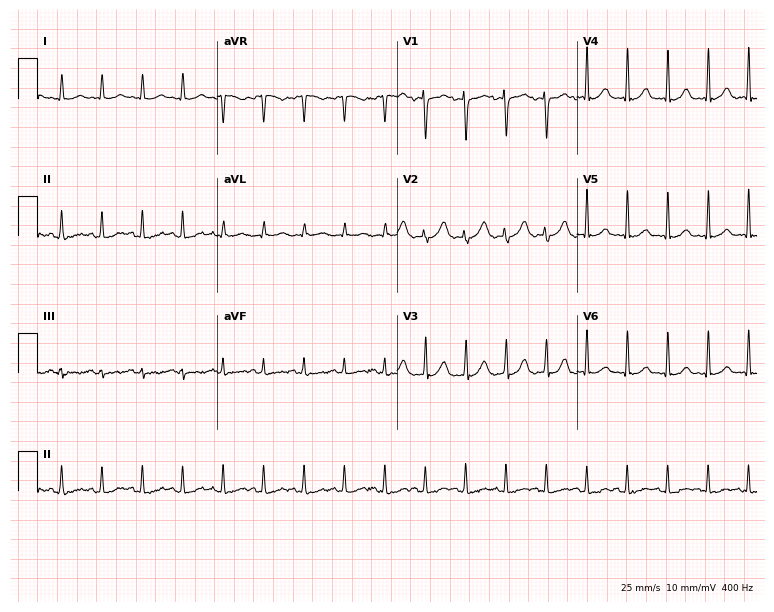
12-lead ECG from a female patient, 25 years old. Findings include sinus tachycardia (a sinus rate of 100 beats per minute or more).